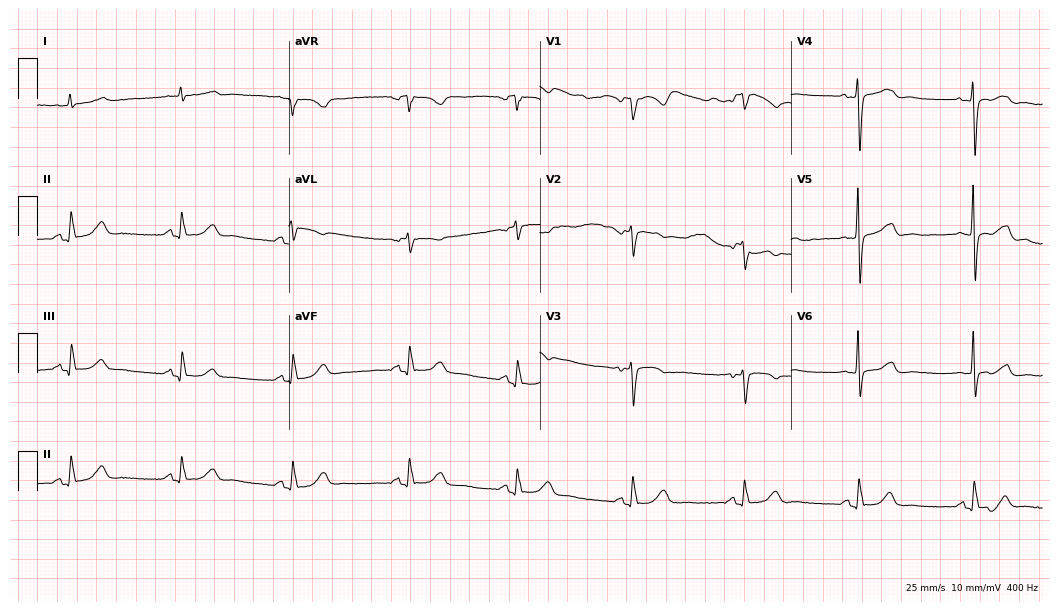
Electrocardiogram (10.2-second recording at 400 Hz), a woman, 78 years old. Overall reading on record: normal ECG.